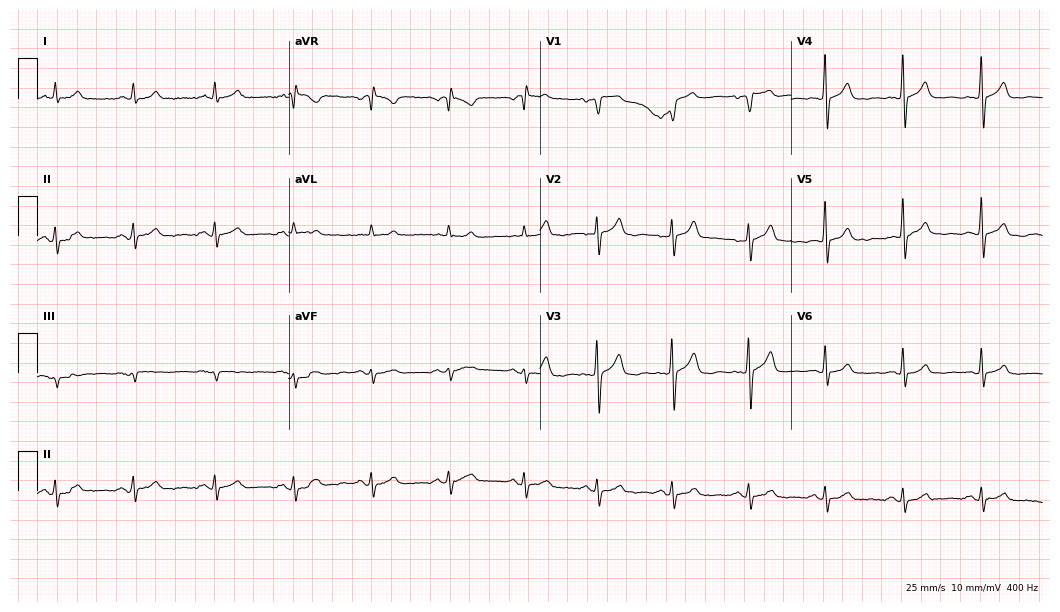
12-lead ECG from a 58-year-old male patient. Labelled as a normal ECG.